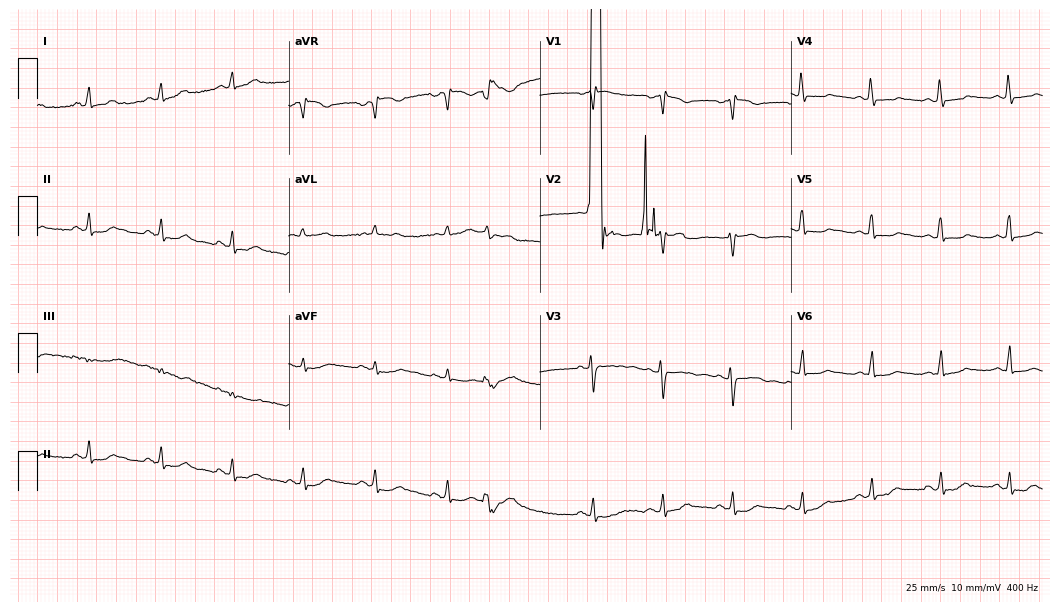
ECG — a female patient, 52 years old. Screened for six findings — first-degree AV block, right bundle branch block (RBBB), left bundle branch block (LBBB), sinus bradycardia, atrial fibrillation (AF), sinus tachycardia — none is recorded. Only these six findings were labelled.